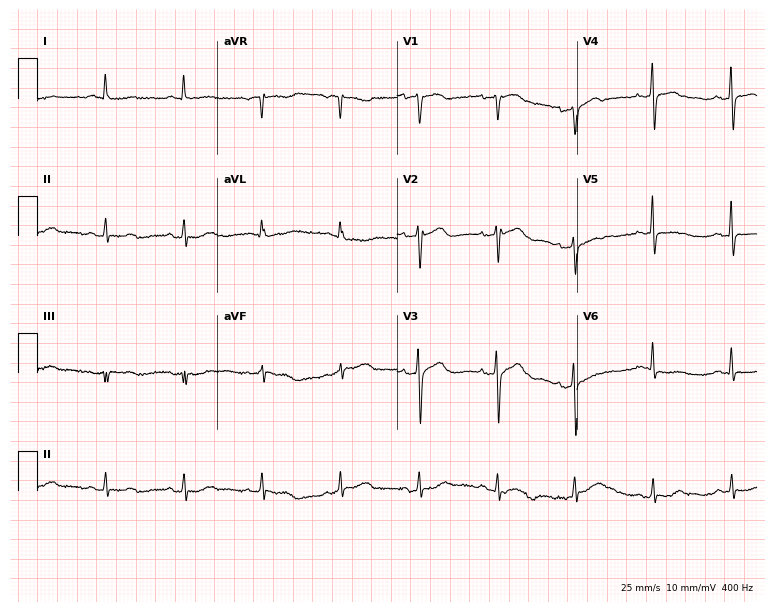
Resting 12-lead electrocardiogram. Patient: a female, 57 years old. None of these six findings is recorded: first-degree AV block, right bundle branch block, left bundle branch block, sinus bradycardia, atrial fibrillation, sinus tachycardia. Only these six findings were labelled.